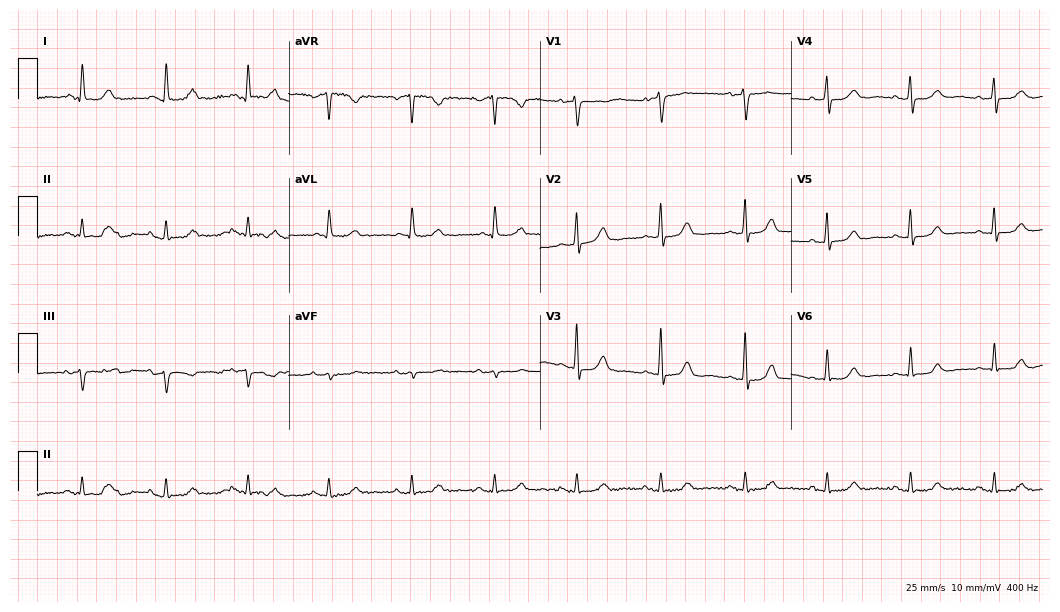
Standard 12-lead ECG recorded from a female patient, 70 years old. None of these six findings is recorded: first-degree AV block, right bundle branch block (RBBB), left bundle branch block (LBBB), sinus bradycardia, atrial fibrillation (AF), sinus tachycardia.